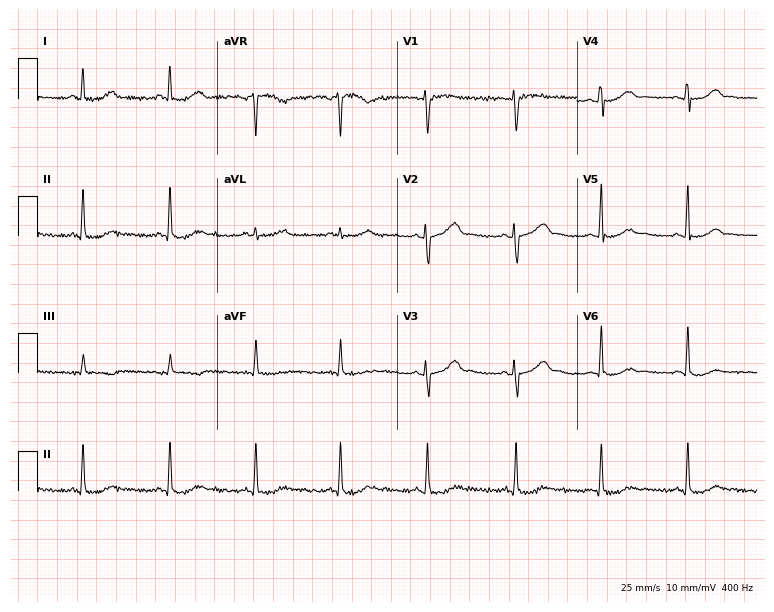
Resting 12-lead electrocardiogram. Patient: a female, 45 years old. None of these six findings is recorded: first-degree AV block, right bundle branch block, left bundle branch block, sinus bradycardia, atrial fibrillation, sinus tachycardia. Only these six findings were labelled.